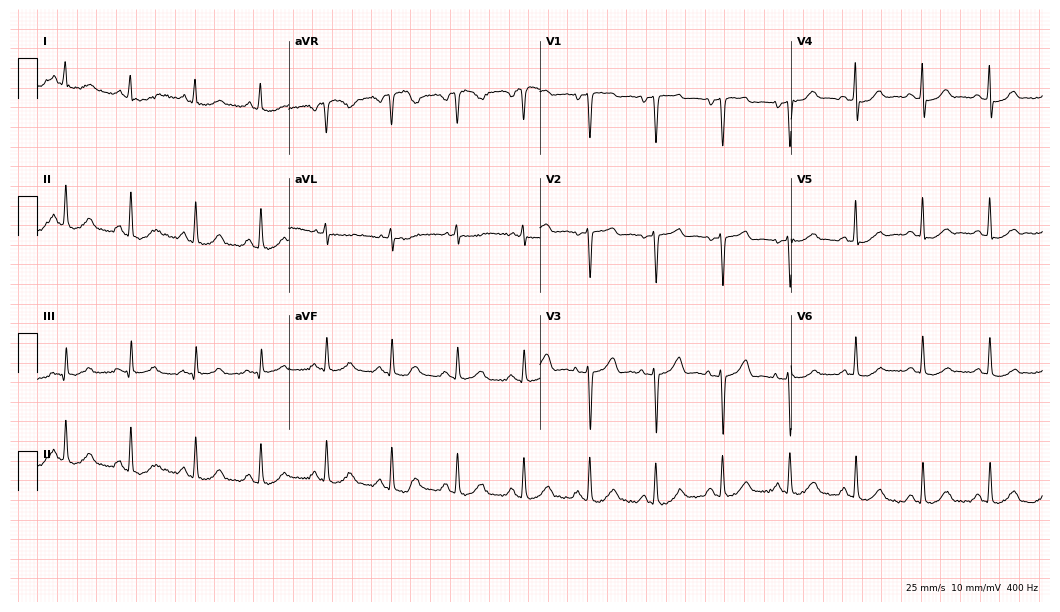
Standard 12-lead ECG recorded from a 68-year-old female patient. None of these six findings is recorded: first-degree AV block, right bundle branch block (RBBB), left bundle branch block (LBBB), sinus bradycardia, atrial fibrillation (AF), sinus tachycardia. Other findings, if any, are not listed.